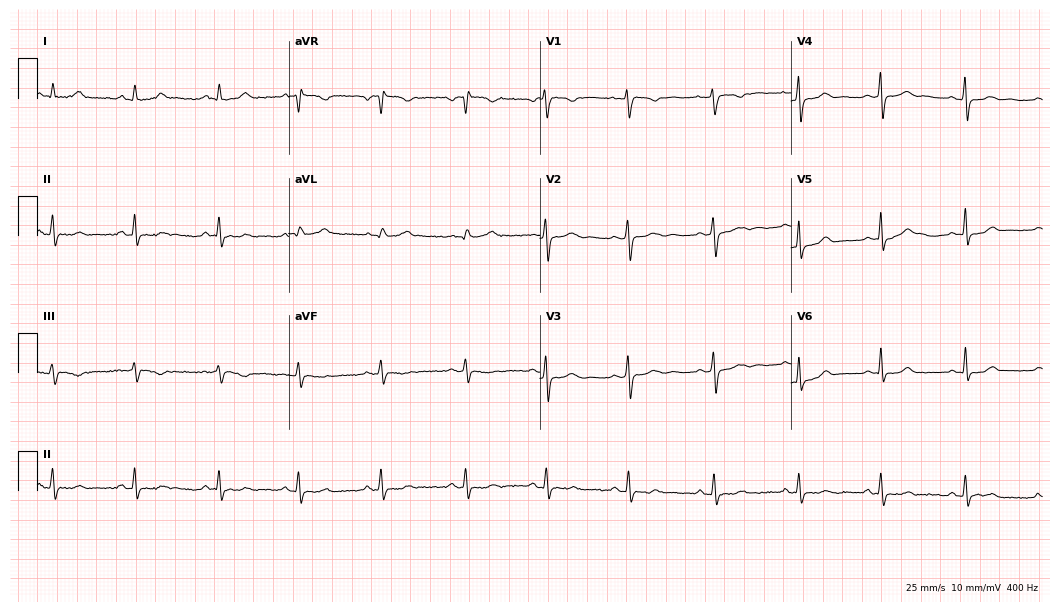
Resting 12-lead electrocardiogram. Patient: a female, 20 years old. Read as a normal ECG.